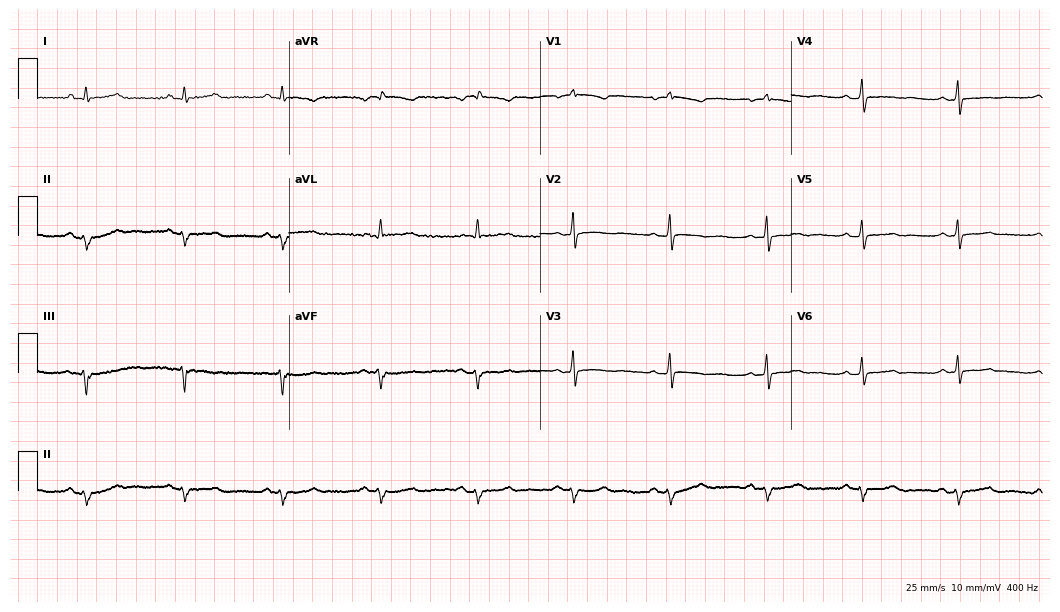
ECG — a 49-year-old female. Screened for six findings — first-degree AV block, right bundle branch block, left bundle branch block, sinus bradycardia, atrial fibrillation, sinus tachycardia — none is recorded. Only these six findings were labelled.